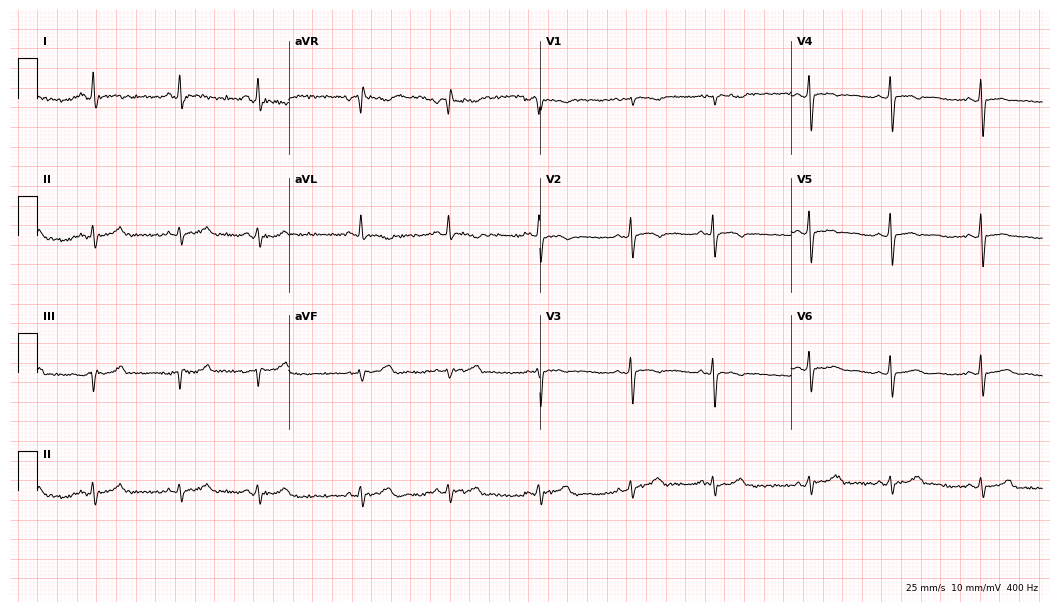
Resting 12-lead electrocardiogram. Patient: a woman, 17 years old. None of these six findings is recorded: first-degree AV block, right bundle branch block, left bundle branch block, sinus bradycardia, atrial fibrillation, sinus tachycardia. Findings outside these six are not listed.